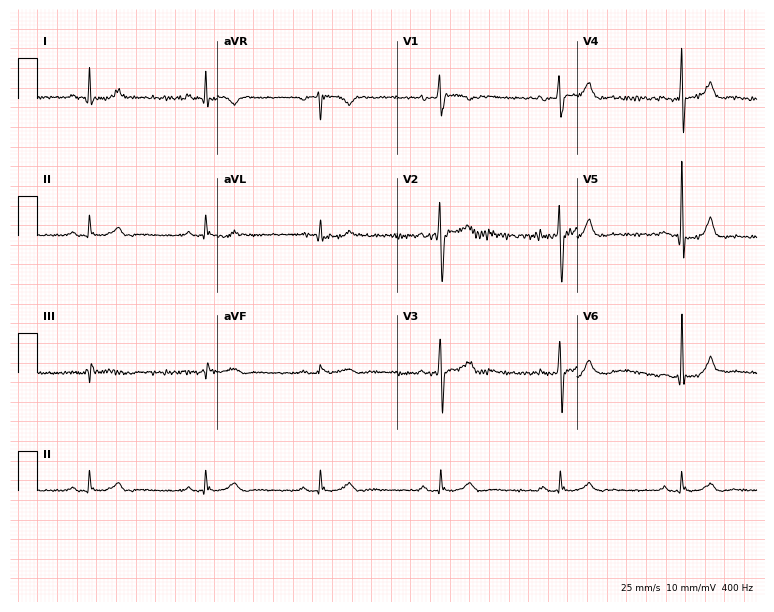
Resting 12-lead electrocardiogram. Patient: a 43-year-old man. The tracing shows sinus bradycardia (a sinus rate of 50 beats per minute or less).